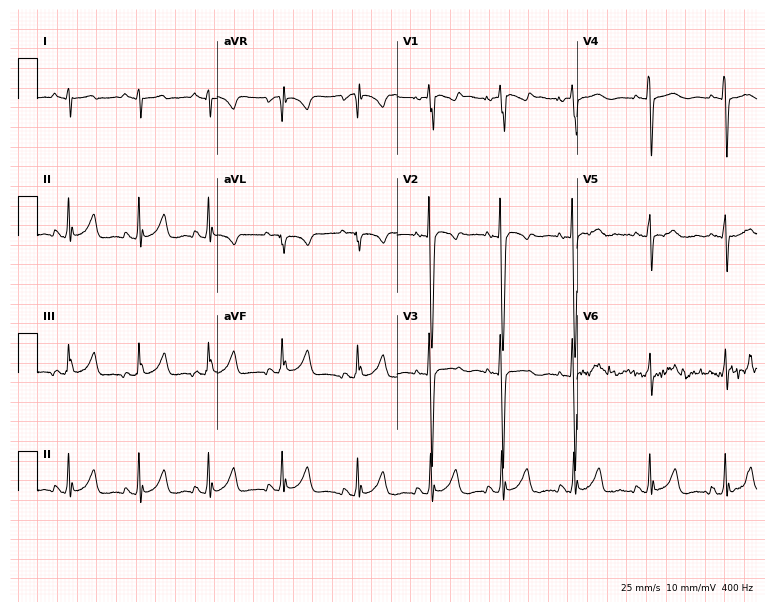
12-lead ECG (7.3-second recording at 400 Hz) from a 19-year-old male. Screened for six findings — first-degree AV block, right bundle branch block, left bundle branch block, sinus bradycardia, atrial fibrillation, sinus tachycardia — none is recorded.